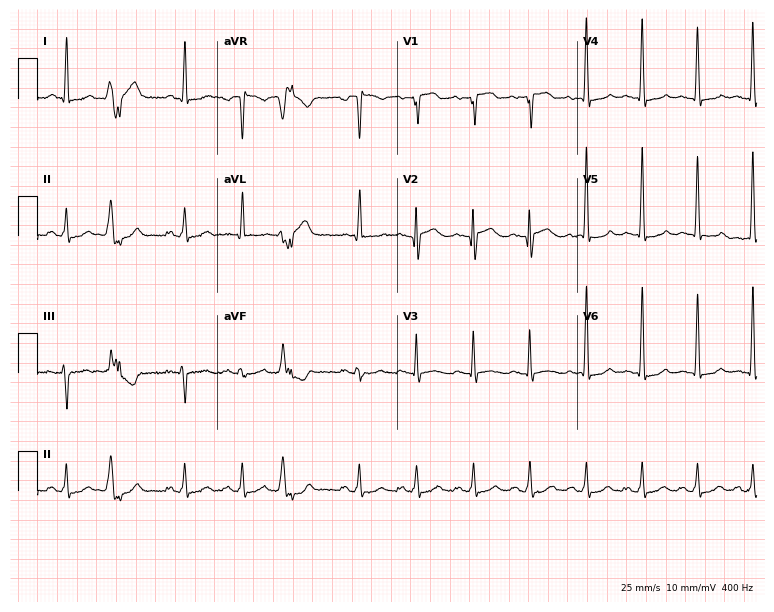
Standard 12-lead ECG recorded from a 72-year-old female patient (7.3-second recording at 400 Hz). The tracing shows sinus tachycardia (a sinus rate of 100 beats per minute or more).